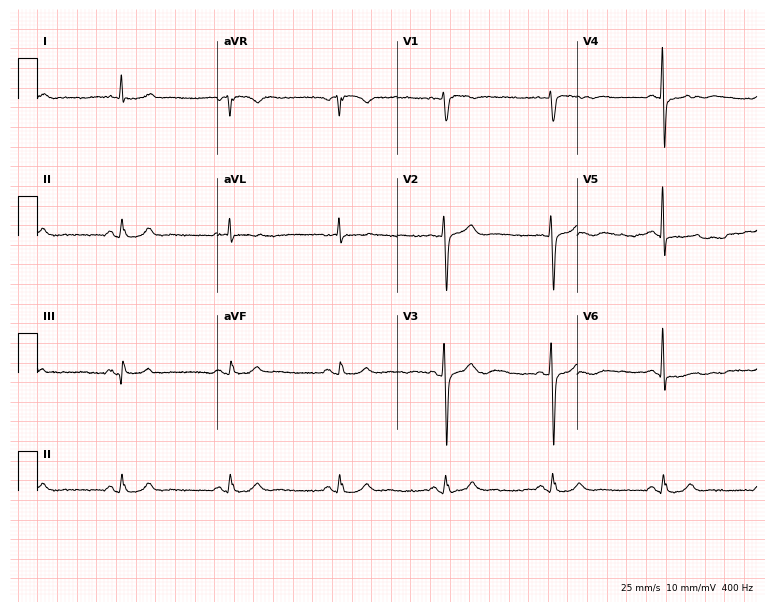
12-lead ECG from a male, 81 years old. Screened for six findings — first-degree AV block, right bundle branch block, left bundle branch block, sinus bradycardia, atrial fibrillation, sinus tachycardia — none is recorded. Findings outside these six are not listed.